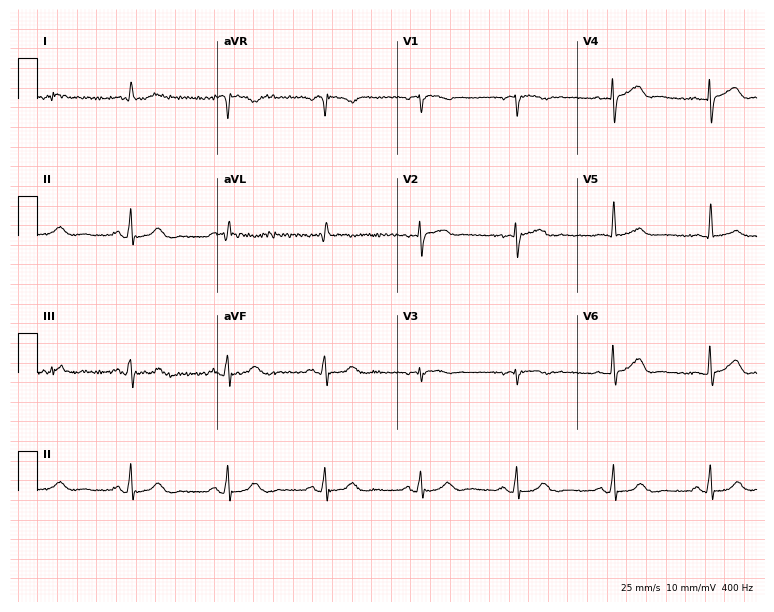
12-lead ECG (7.3-second recording at 400 Hz) from a man, 80 years old. Labelled as a normal ECG.